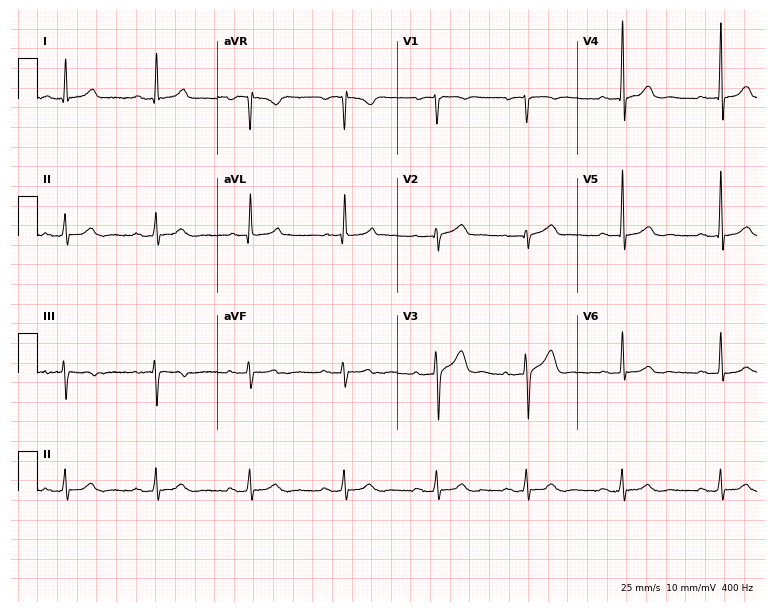
Standard 12-lead ECG recorded from a male patient, 53 years old. Read as a normal ECG.